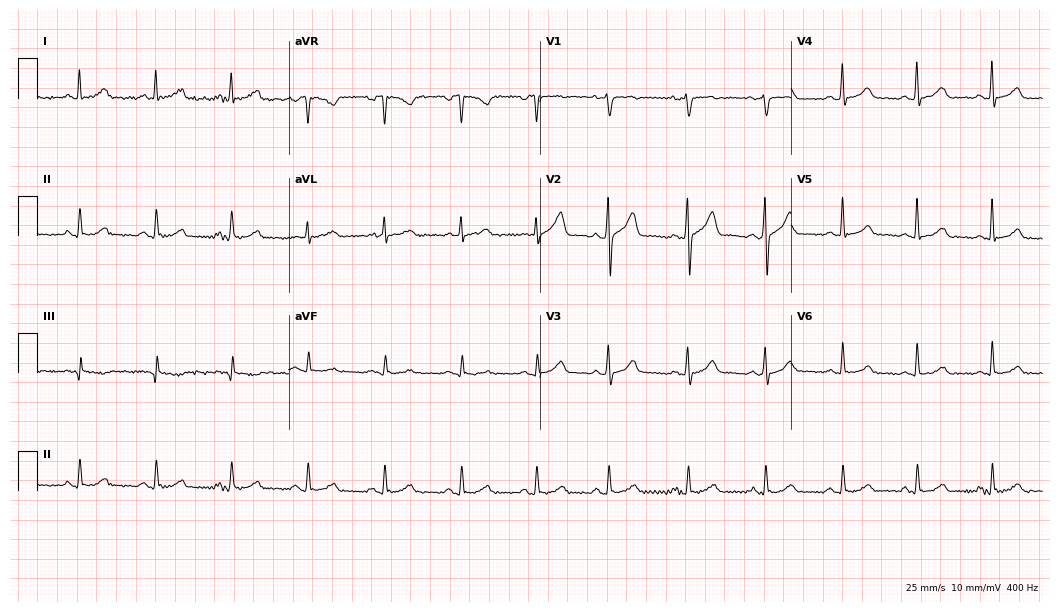
Standard 12-lead ECG recorded from a 49-year-old male patient (10.2-second recording at 400 Hz). Read as a normal ECG.